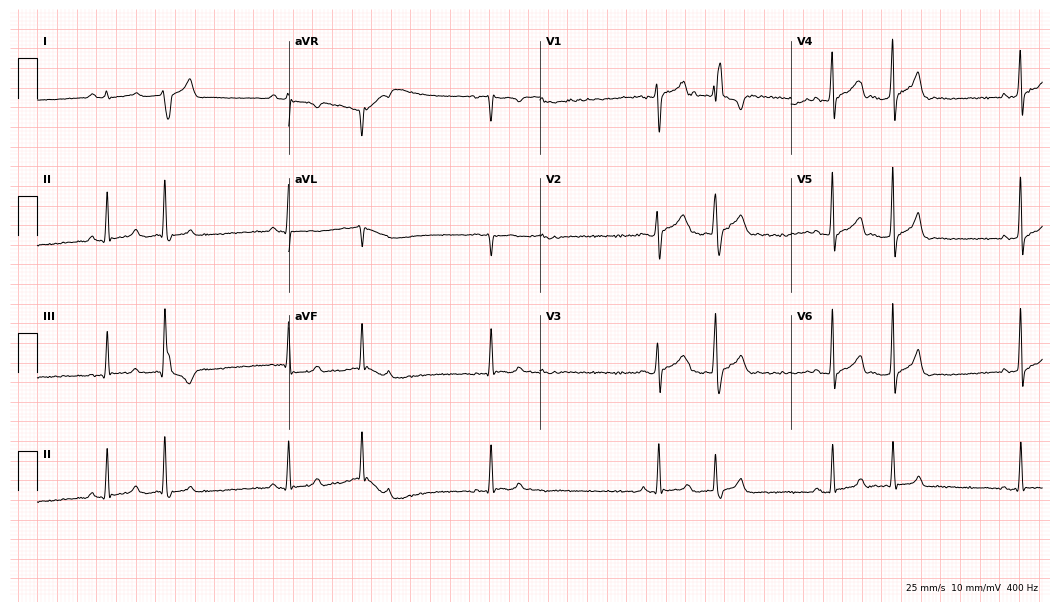
Standard 12-lead ECG recorded from a 23-year-old male patient. None of these six findings is recorded: first-degree AV block, right bundle branch block (RBBB), left bundle branch block (LBBB), sinus bradycardia, atrial fibrillation (AF), sinus tachycardia.